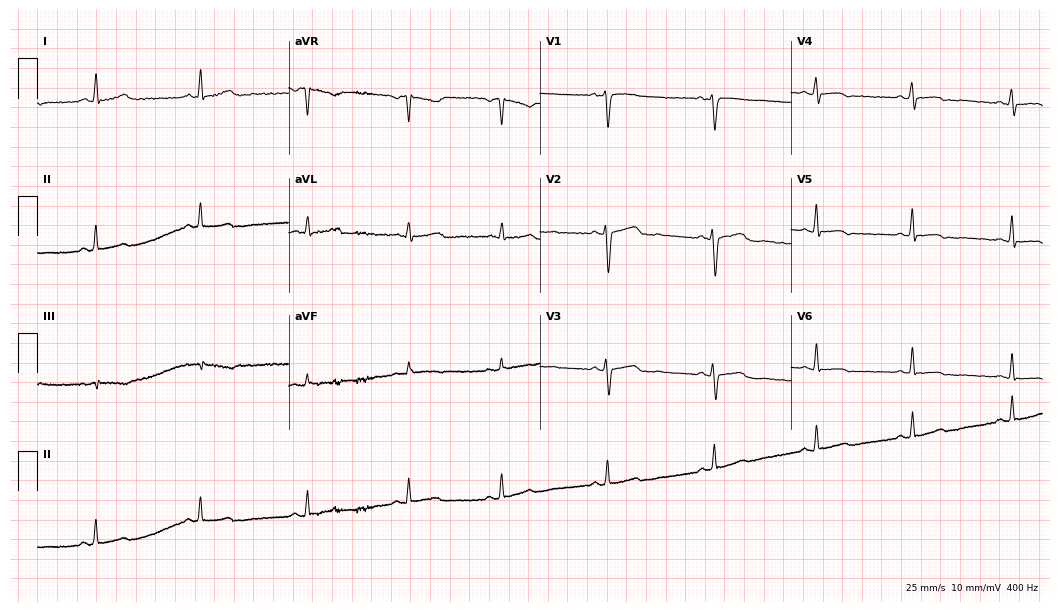
Standard 12-lead ECG recorded from a female patient, 40 years old (10.2-second recording at 400 Hz). None of these six findings is recorded: first-degree AV block, right bundle branch block (RBBB), left bundle branch block (LBBB), sinus bradycardia, atrial fibrillation (AF), sinus tachycardia. Only these six findings were labelled.